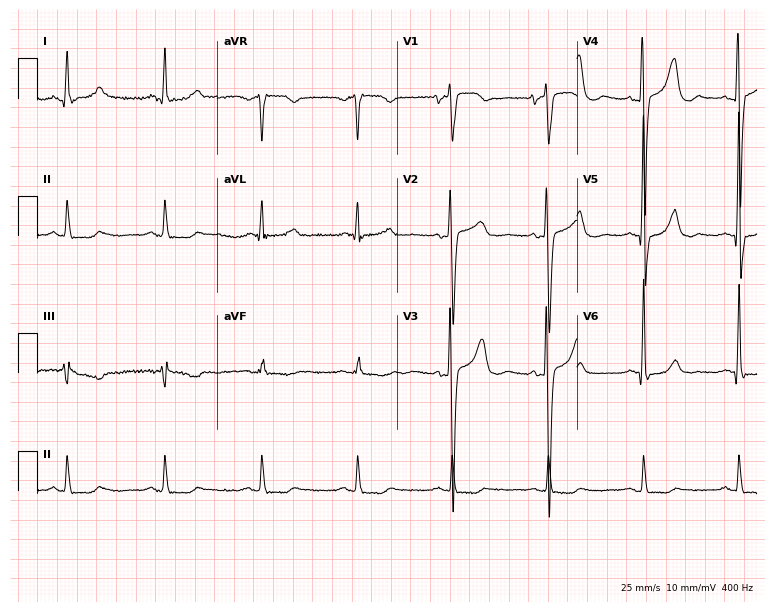
Resting 12-lead electrocardiogram (7.3-second recording at 400 Hz). Patient: a male, 64 years old. Read as a normal ECG.